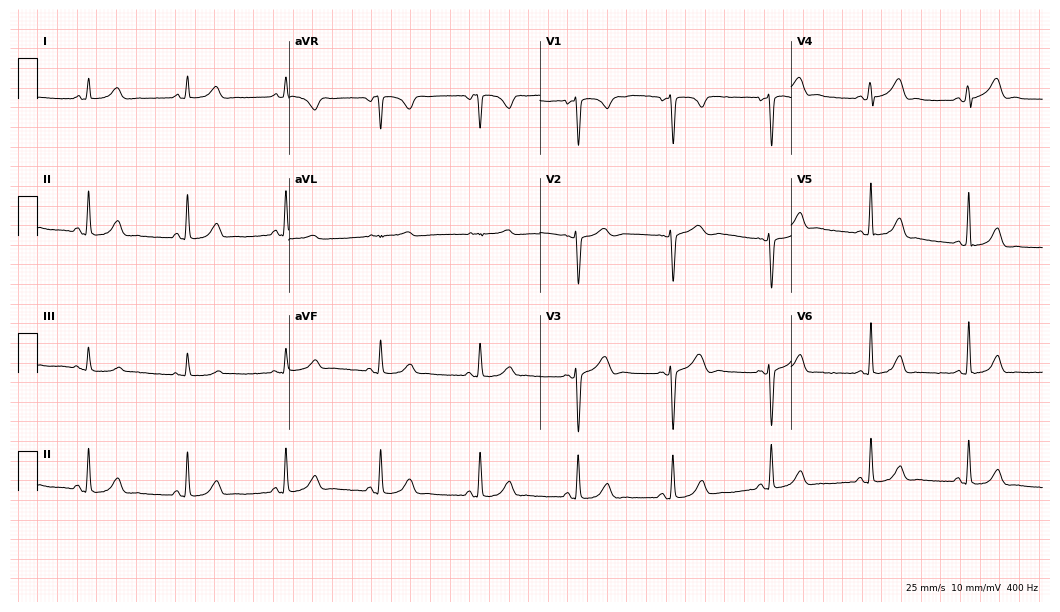
Resting 12-lead electrocardiogram (10.2-second recording at 400 Hz). Patient: a female, 30 years old. Read as a normal ECG.